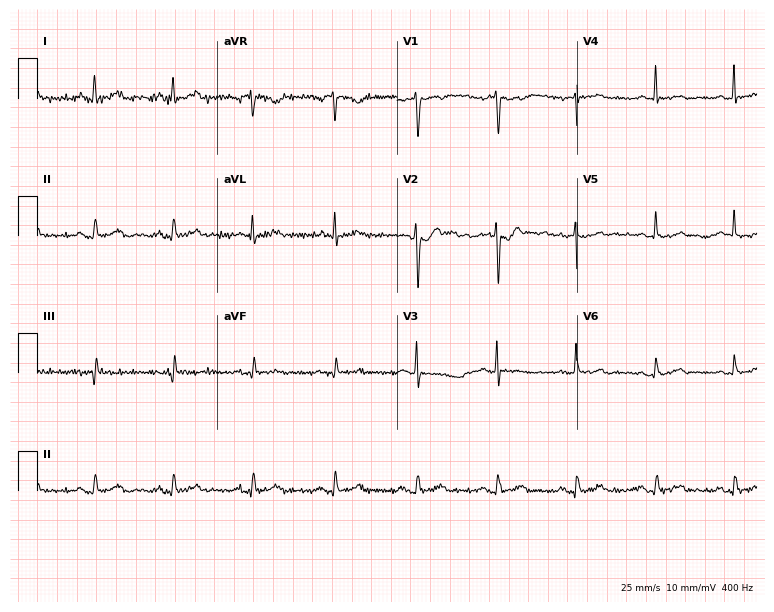
Standard 12-lead ECG recorded from a 53-year-old female patient. None of these six findings is recorded: first-degree AV block, right bundle branch block, left bundle branch block, sinus bradycardia, atrial fibrillation, sinus tachycardia. Other findings, if any, are not listed.